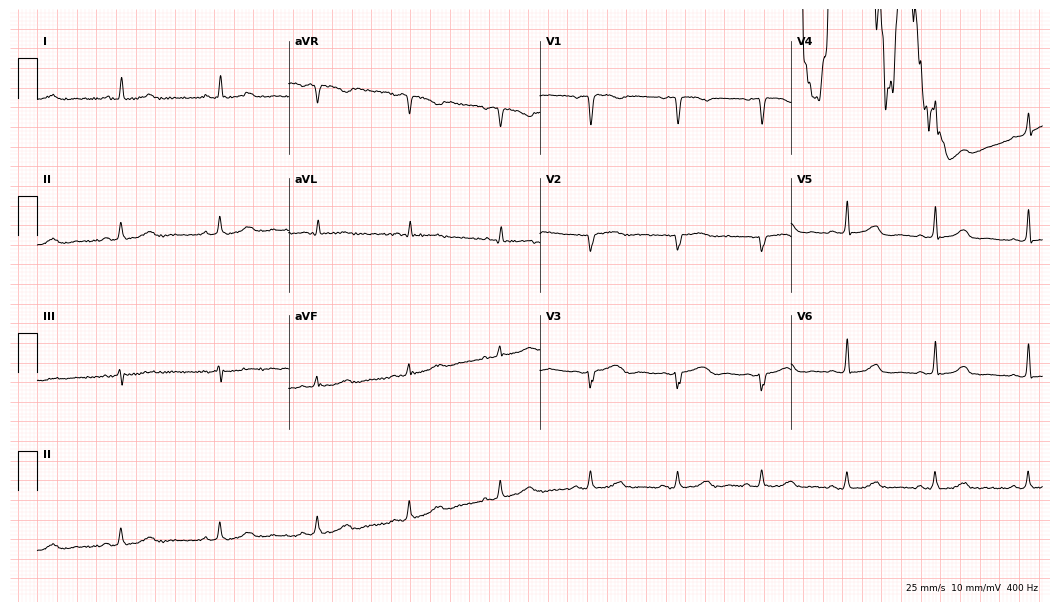
12-lead ECG from a woman, 46 years old. No first-degree AV block, right bundle branch block (RBBB), left bundle branch block (LBBB), sinus bradycardia, atrial fibrillation (AF) or sinus tachycardia recorded for this tracing.